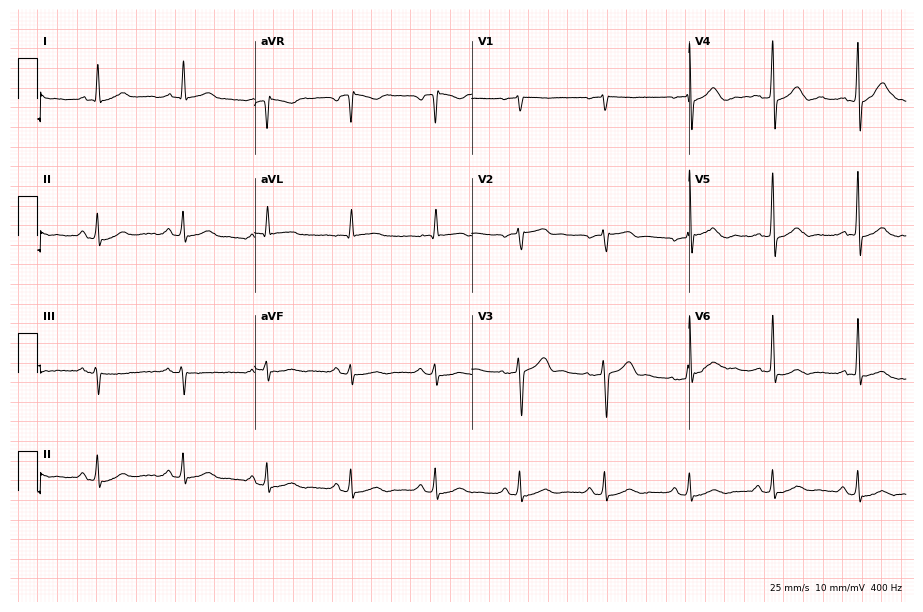
12-lead ECG from a male patient, 58 years old. Labelled as a normal ECG.